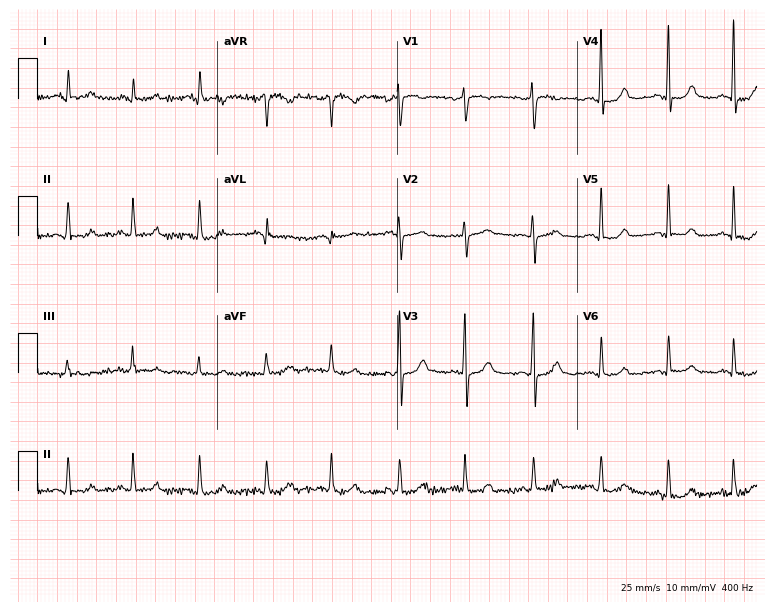
Resting 12-lead electrocardiogram. Patient: a 35-year-old female. Read as a normal ECG.